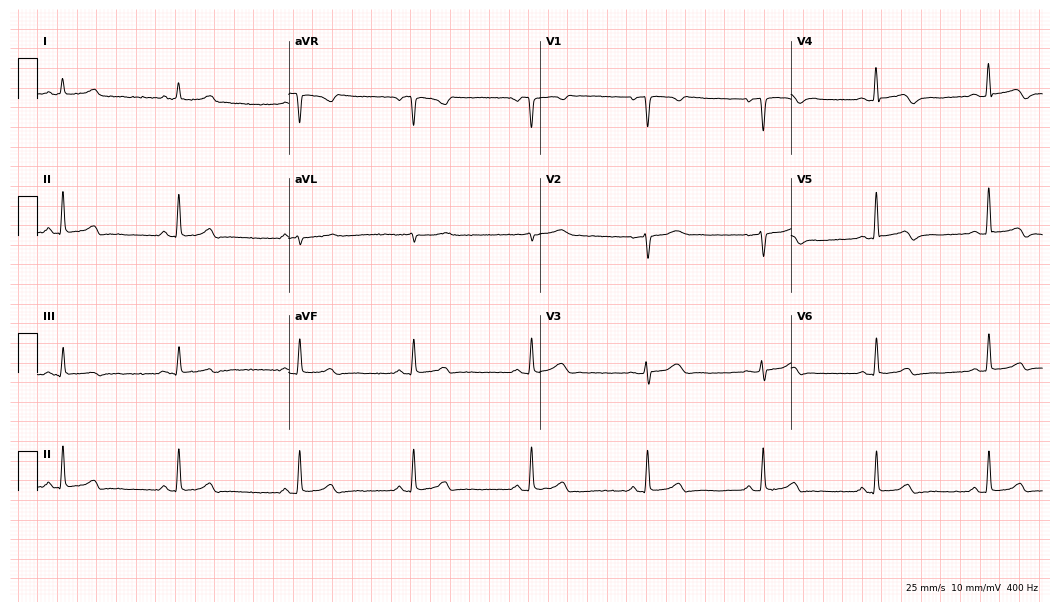
Resting 12-lead electrocardiogram. Patient: a 58-year-old female. None of these six findings is recorded: first-degree AV block, right bundle branch block (RBBB), left bundle branch block (LBBB), sinus bradycardia, atrial fibrillation (AF), sinus tachycardia. Only these six findings were labelled.